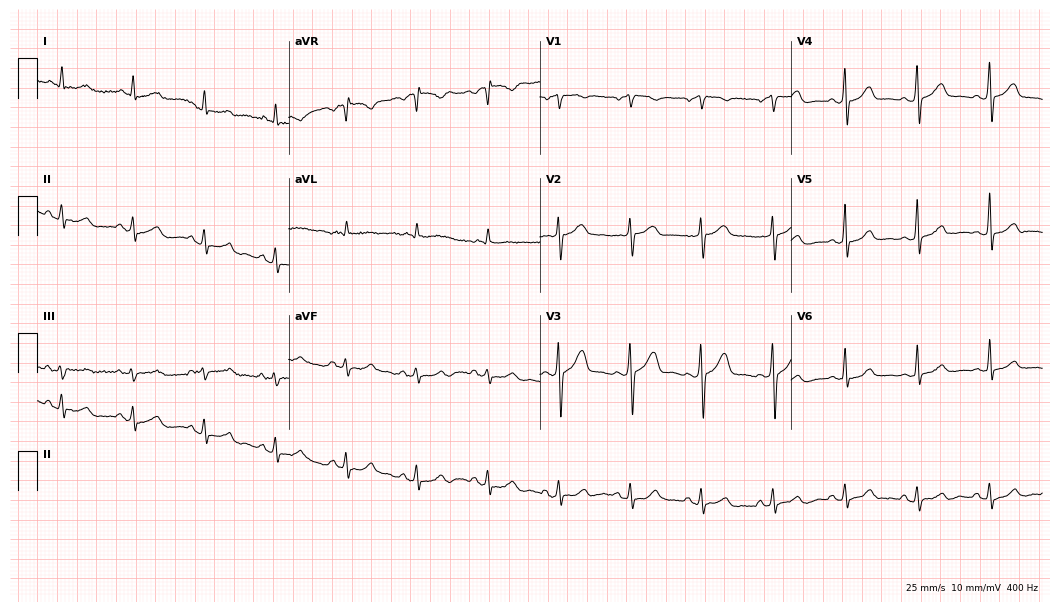
ECG — a male, 68 years old. Screened for six findings — first-degree AV block, right bundle branch block, left bundle branch block, sinus bradycardia, atrial fibrillation, sinus tachycardia — none is recorded. Only these six findings were labelled.